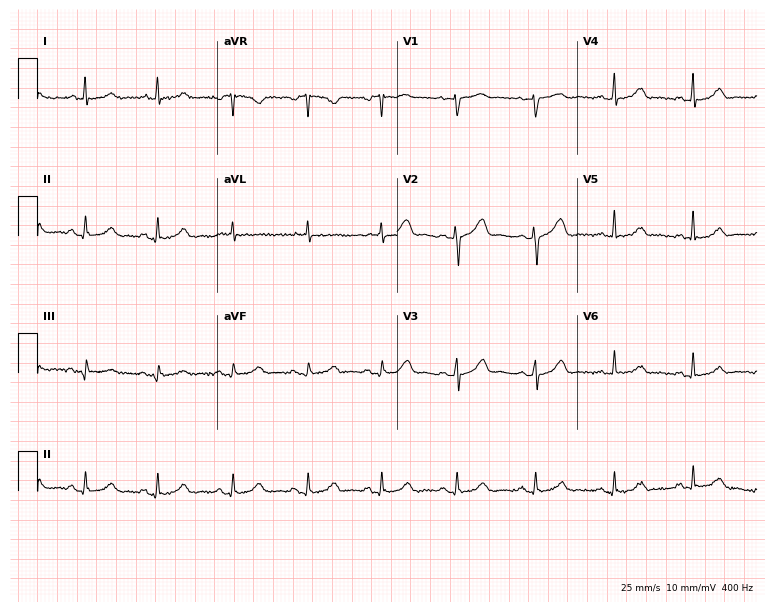
ECG — a 58-year-old female. Labelled as a normal ECG.